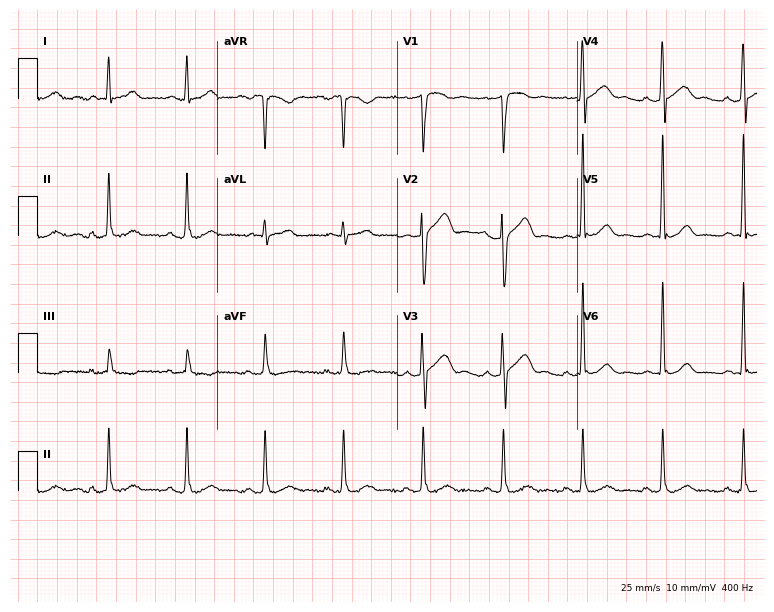
ECG — a man, 60 years old. Screened for six findings — first-degree AV block, right bundle branch block (RBBB), left bundle branch block (LBBB), sinus bradycardia, atrial fibrillation (AF), sinus tachycardia — none is recorded.